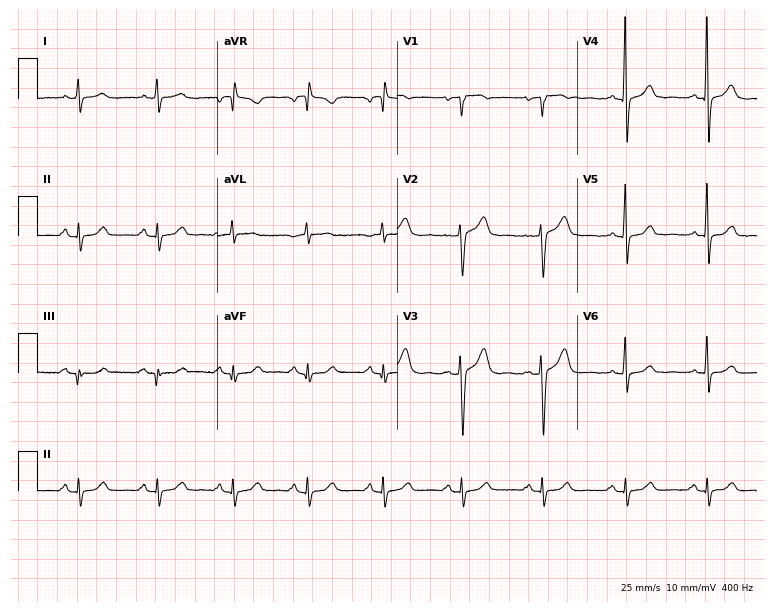
12-lead ECG from a female, 54 years old (7.3-second recording at 400 Hz). No first-degree AV block, right bundle branch block (RBBB), left bundle branch block (LBBB), sinus bradycardia, atrial fibrillation (AF) or sinus tachycardia recorded for this tracing. Only these six findings were labelled.